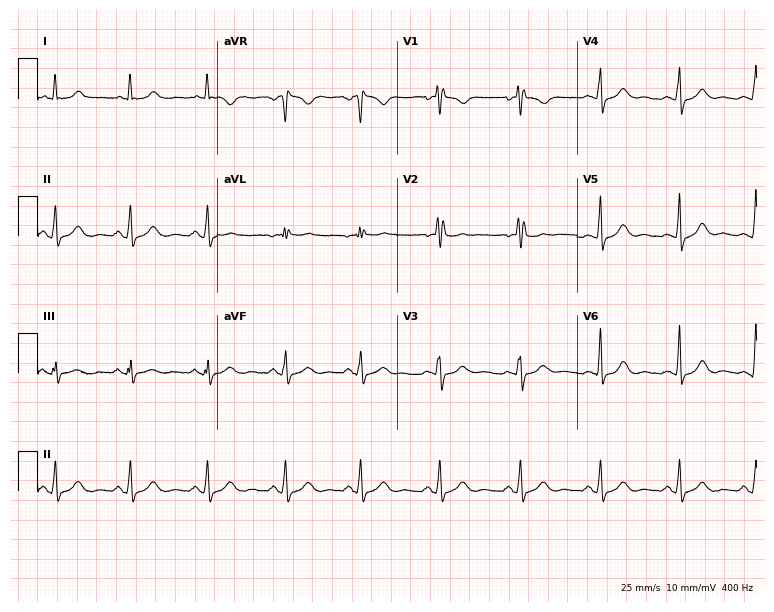
Electrocardiogram (7.3-second recording at 400 Hz), a female, 45 years old. Of the six screened findings (first-degree AV block, right bundle branch block, left bundle branch block, sinus bradycardia, atrial fibrillation, sinus tachycardia), none is recorded. Other findings, if any, are not listed.